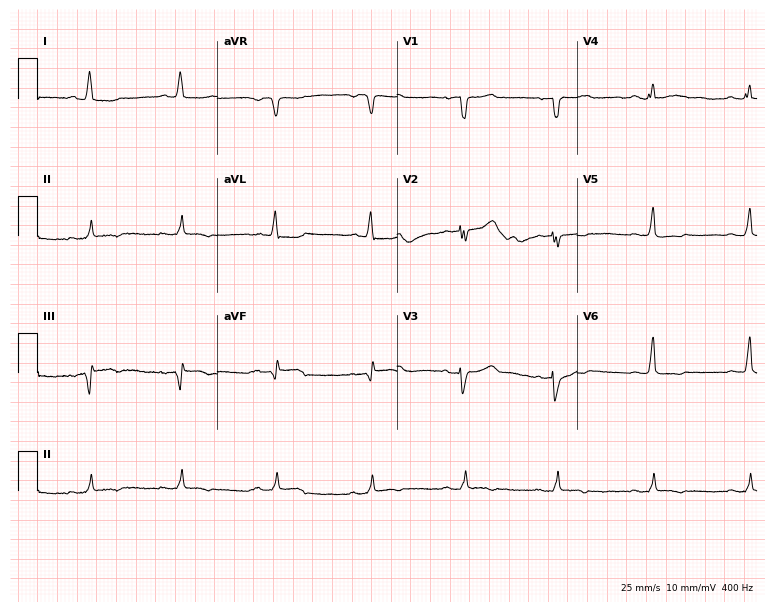
12-lead ECG (7.3-second recording at 400 Hz) from a 78-year-old woman. Screened for six findings — first-degree AV block, right bundle branch block, left bundle branch block, sinus bradycardia, atrial fibrillation, sinus tachycardia — none is recorded. Findings outside these six are not listed.